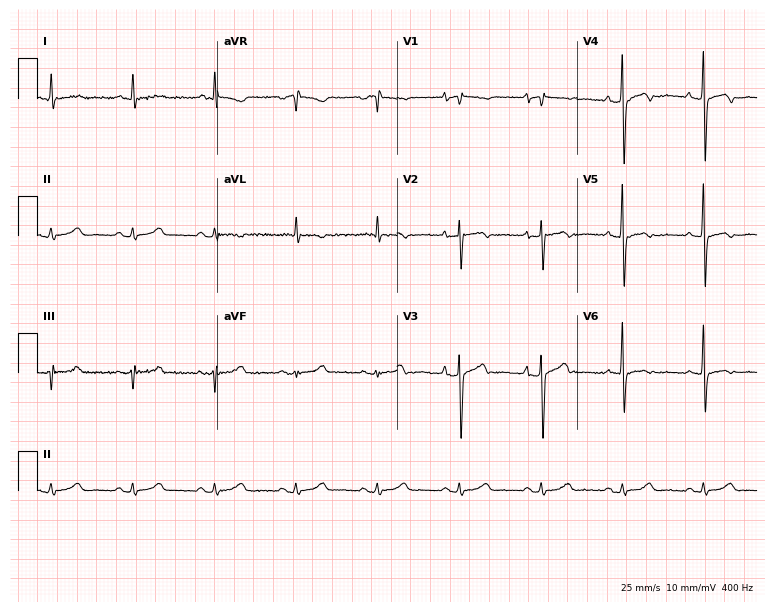
ECG (7.3-second recording at 400 Hz) — a 50-year-old man. Screened for six findings — first-degree AV block, right bundle branch block, left bundle branch block, sinus bradycardia, atrial fibrillation, sinus tachycardia — none is recorded.